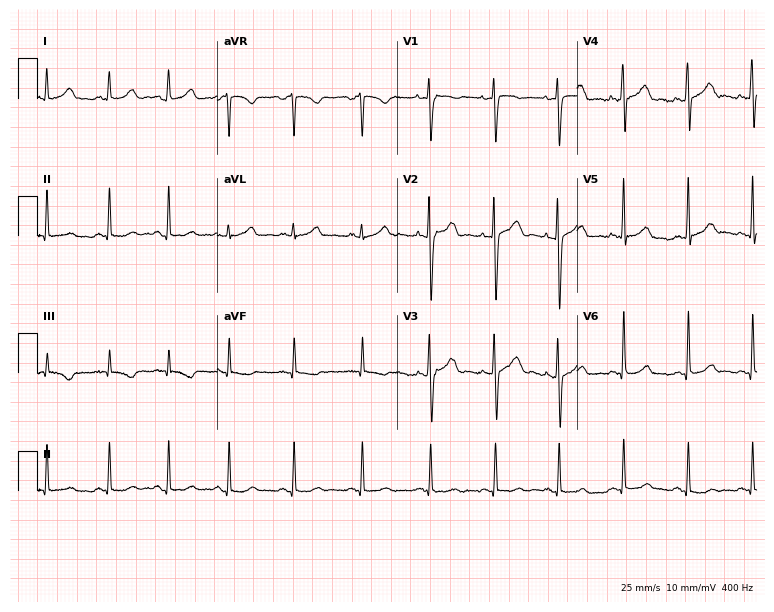
ECG (7.3-second recording at 400 Hz) — a woman, 20 years old. Screened for six findings — first-degree AV block, right bundle branch block, left bundle branch block, sinus bradycardia, atrial fibrillation, sinus tachycardia — none is recorded. Only these six findings were labelled.